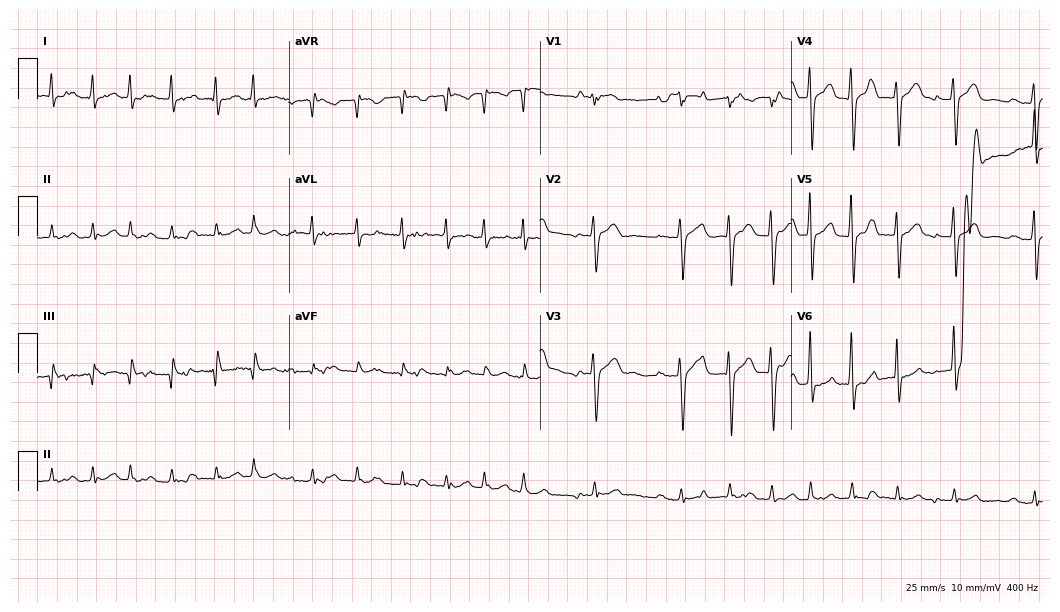
ECG — a 74-year-old male patient. Findings include first-degree AV block, sinus tachycardia (a sinus rate of 100 beats per minute or more).